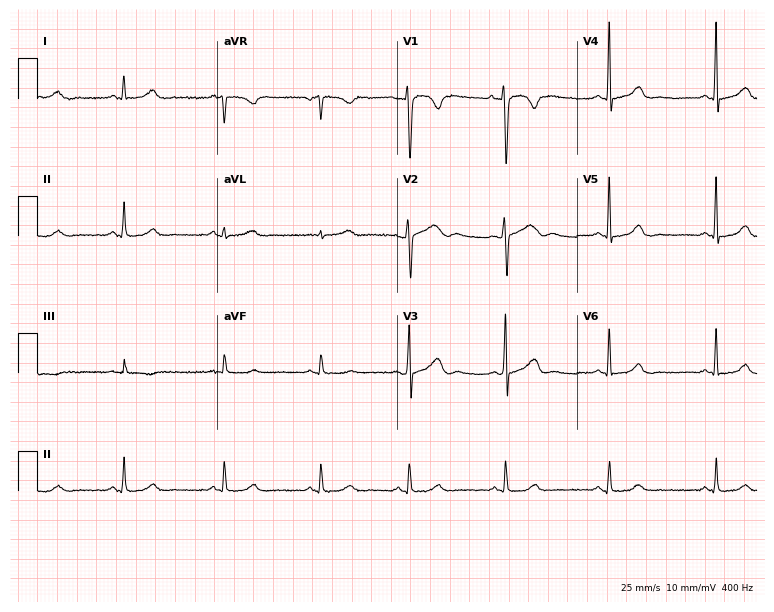
Standard 12-lead ECG recorded from a 40-year-old female patient. None of these six findings is recorded: first-degree AV block, right bundle branch block, left bundle branch block, sinus bradycardia, atrial fibrillation, sinus tachycardia.